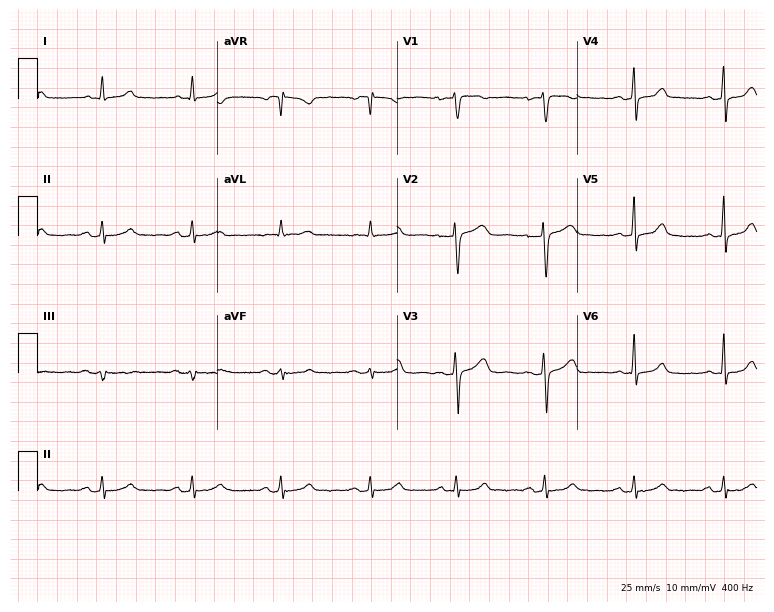
Electrocardiogram, a 51-year-old female patient. Overall reading on record: normal ECG.